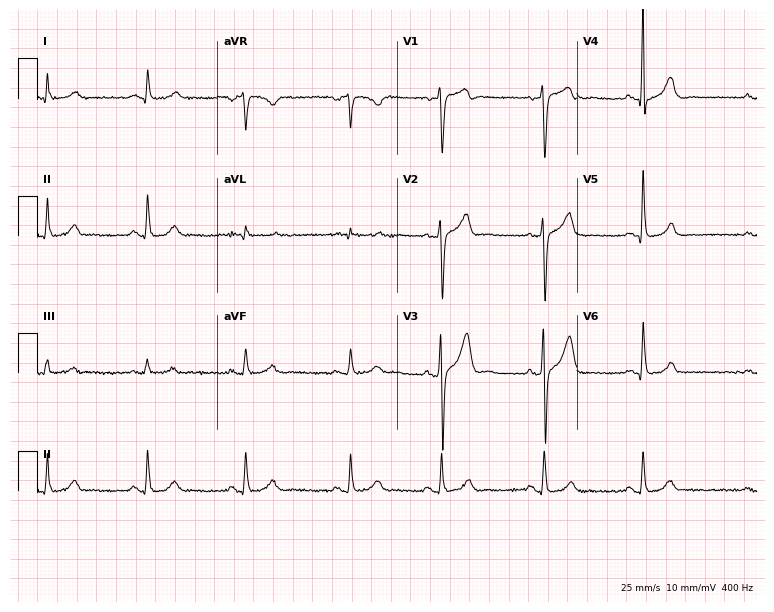
Resting 12-lead electrocardiogram (7.3-second recording at 400 Hz). Patient: a 45-year-old man. None of these six findings is recorded: first-degree AV block, right bundle branch block, left bundle branch block, sinus bradycardia, atrial fibrillation, sinus tachycardia. Other findings, if any, are not listed.